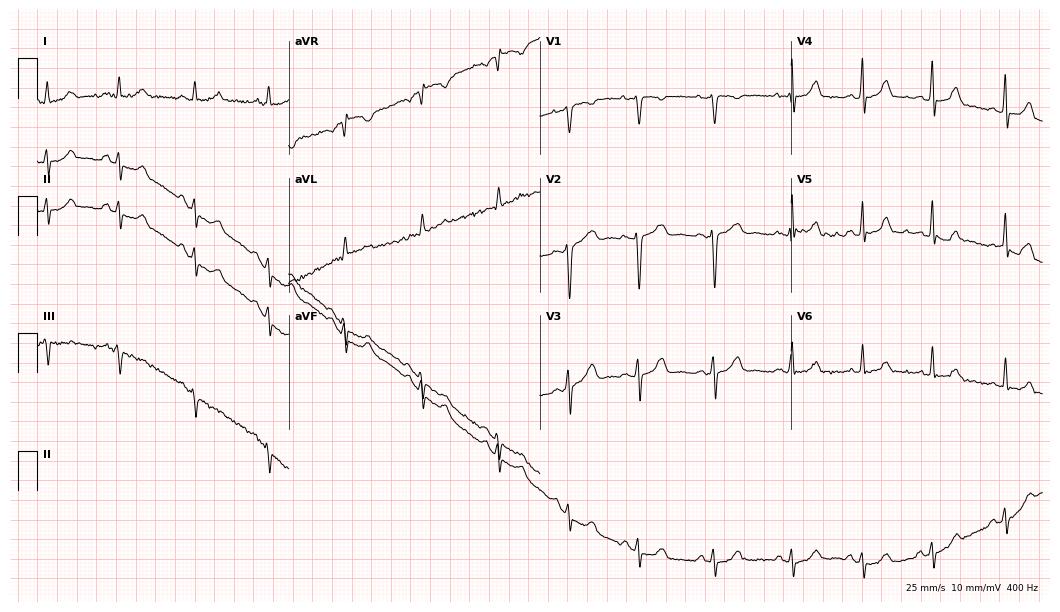
12-lead ECG from a 25-year-old female (10.2-second recording at 400 Hz). No first-degree AV block, right bundle branch block, left bundle branch block, sinus bradycardia, atrial fibrillation or sinus tachycardia recorded for this tracing.